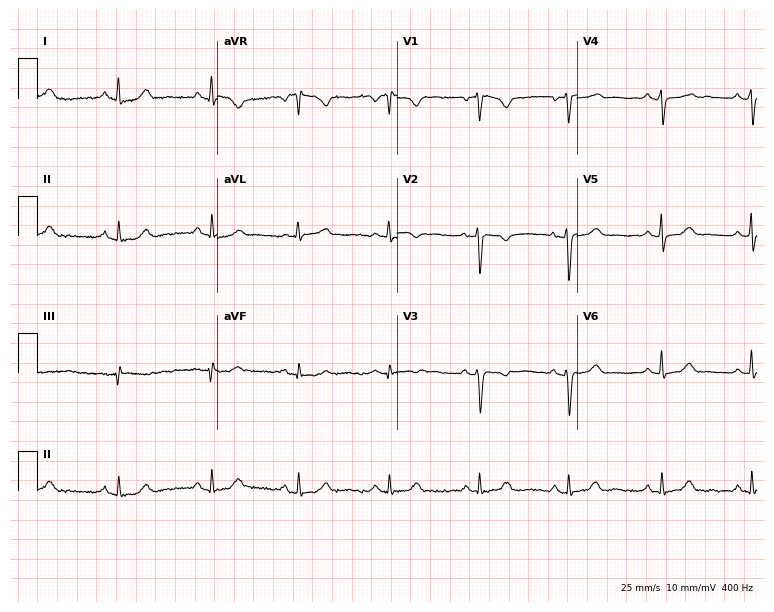
ECG — a woman, 29 years old. Screened for six findings — first-degree AV block, right bundle branch block (RBBB), left bundle branch block (LBBB), sinus bradycardia, atrial fibrillation (AF), sinus tachycardia — none is recorded. Only these six findings were labelled.